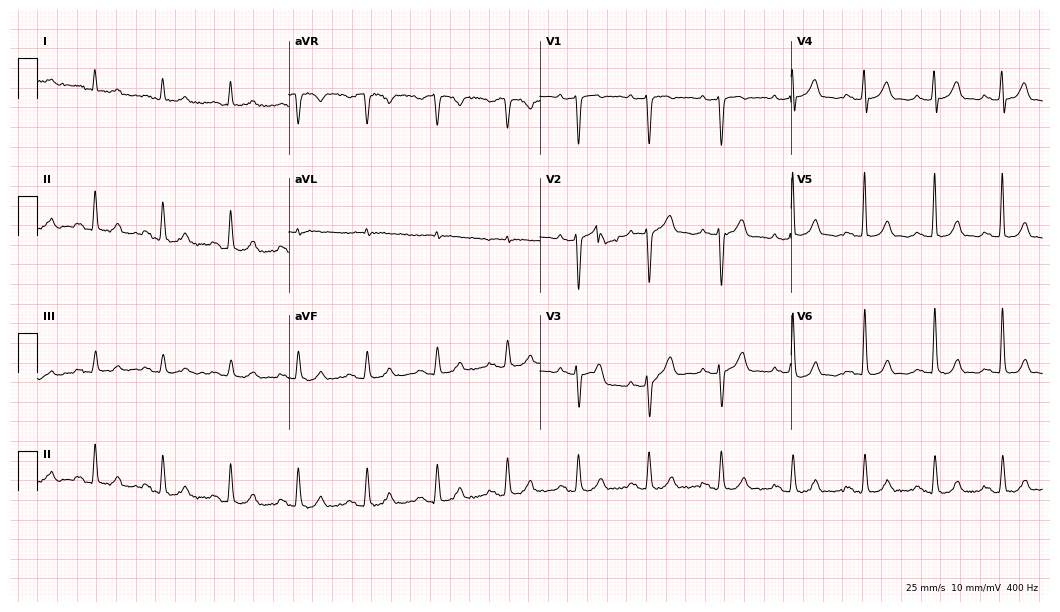
ECG — a man, 78 years old. Screened for six findings — first-degree AV block, right bundle branch block (RBBB), left bundle branch block (LBBB), sinus bradycardia, atrial fibrillation (AF), sinus tachycardia — none is recorded. Findings outside these six are not listed.